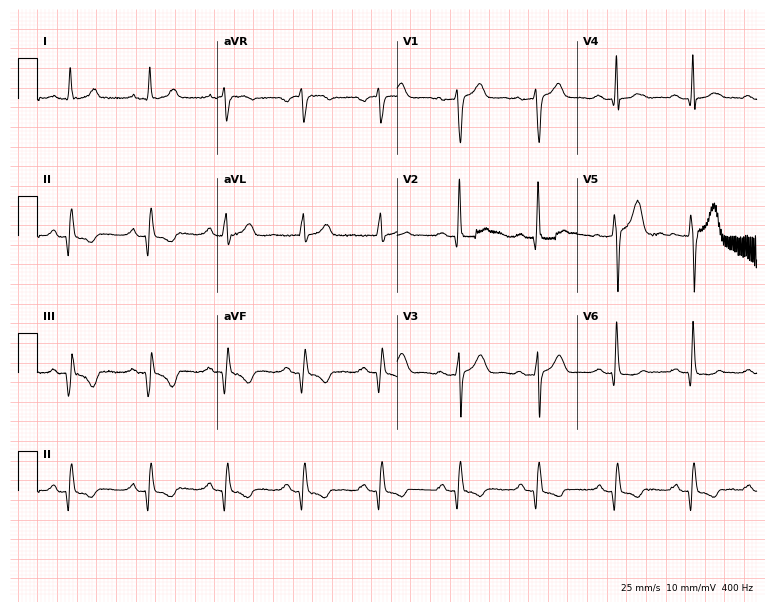
ECG — a 56-year-old male patient. Screened for six findings — first-degree AV block, right bundle branch block, left bundle branch block, sinus bradycardia, atrial fibrillation, sinus tachycardia — none is recorded. Findings outside these six are not listed.